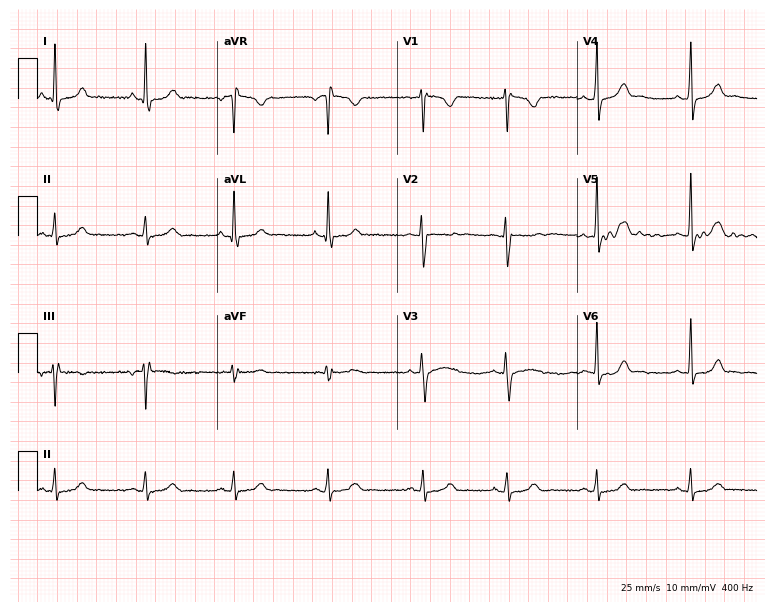
Resting 12-lead electrocardiogram. Patient: a 19-year-old woman. None of these six findings is recorded: first-degree AV block, right bundle branch block, left bundle branch block, sinus bradycardia, atrial fibrillation, sinus tachycardia.